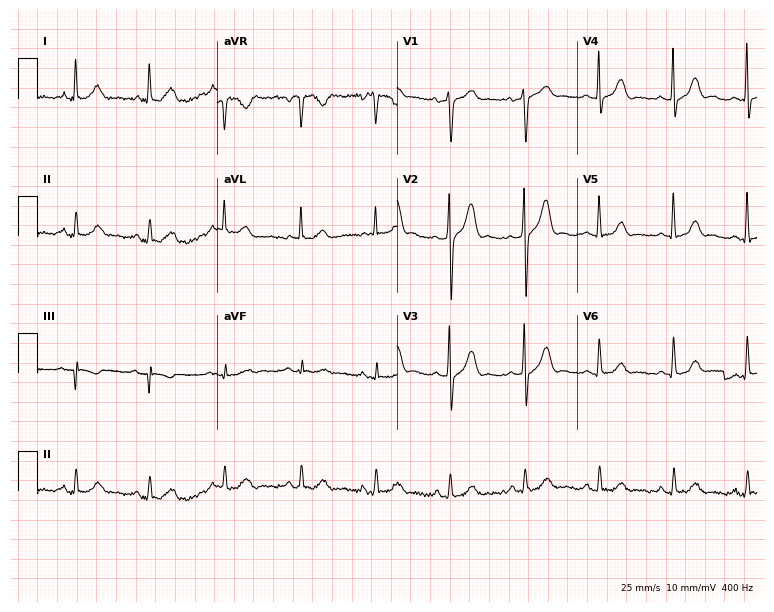
Electrocardiogram, a 62-year-old male. Of the six screened findings (first-degree AV block, right bundle branch block, left bundle branch block, sinus bradycardia, atrial fibrillation, sinus tachycardia), none is recorded. Findings outside these six are not listed.